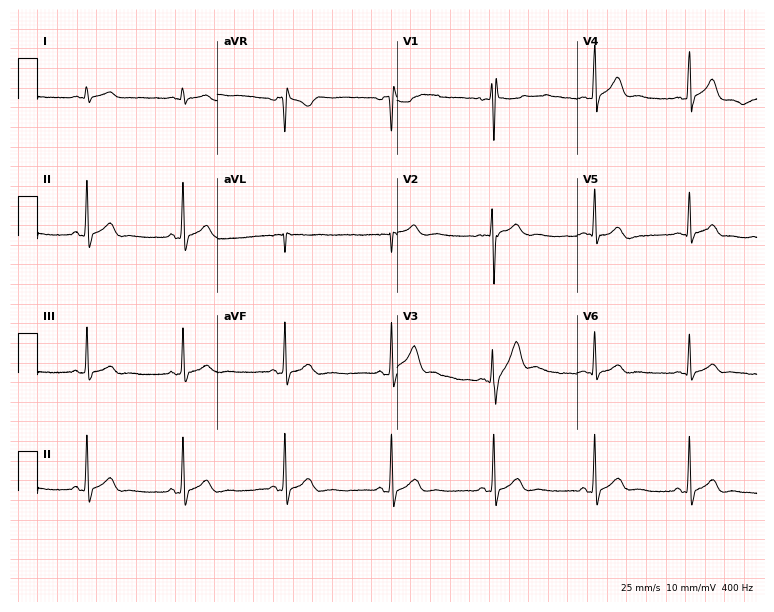
ECG (7.3-second recording at 400 Hz) — a 25-year-old male. Screened for six findings — first-degree AV block, right bundle branch block (RBBB), left bundle branch block (LBBB), sinus bradycardia, atrial fibrillation (AF), sinus tachycardia — none is recorded.